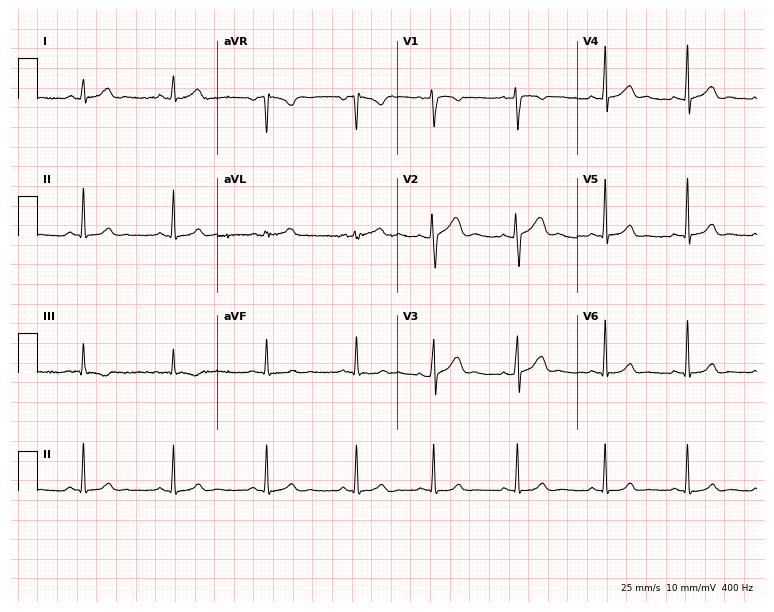
Resting 12-lead electrocardiogram (7.3-second recording at 400 Hz). Patient: a 25-year-old woman. Read as a normal ECG.